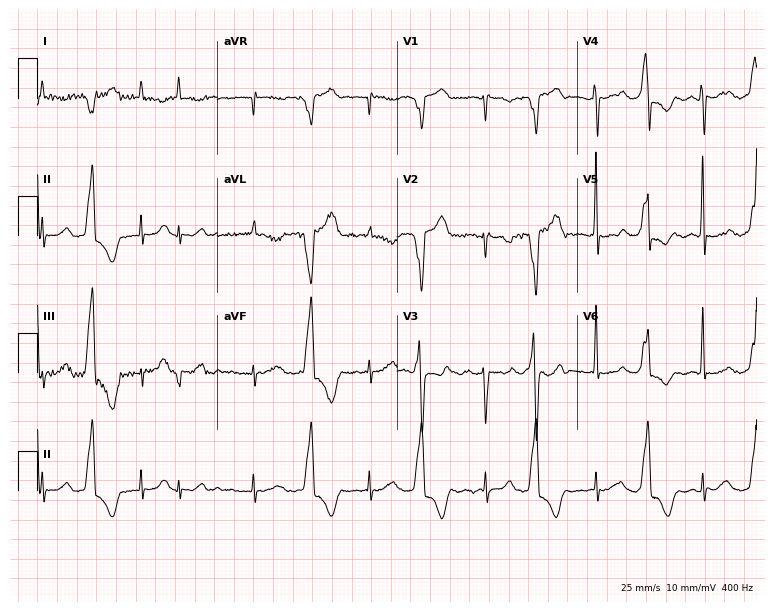
12-lead ECG (7.3-second recording at 400 Hz) from a 76-year-old woman. Screened for six findings — first-degree AV block, right bundle branch block (RBBB), left bundle branch block (LBBB), sinus bradycardia, atrial fibrillation (AF), sinus tachycardia — none is recorded. Findings outside these six are not listed.